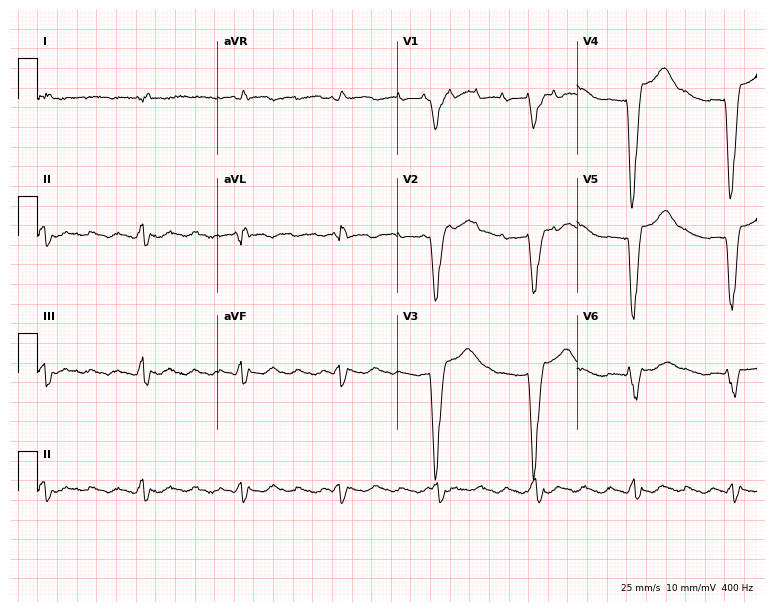
12-lead ECG from a female, 47 years old. No first-degree AV block, right bundle branch block, left bundle branch block, sinus bradycardia, atrial fibrillation or sinus tachycardia recorded for this tracing.